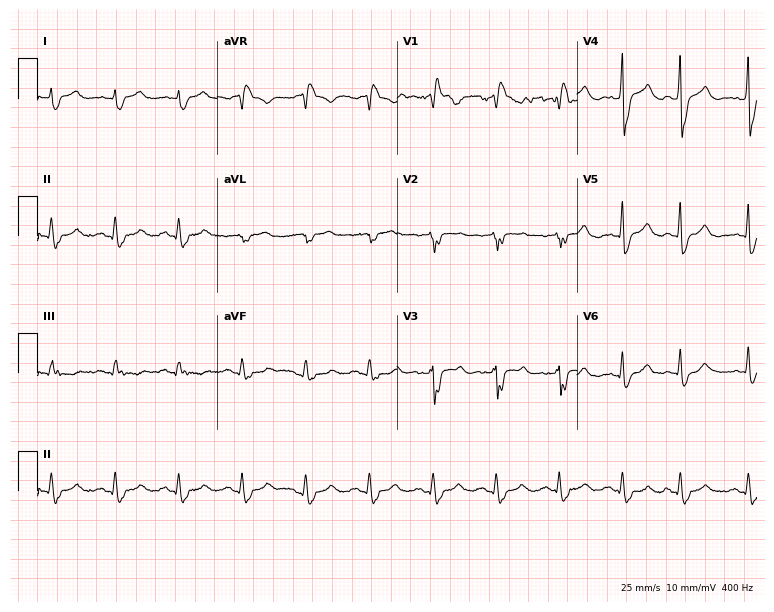
ECG (7.3-second recording at 400 Hz) — a male, 67 years old. Findings include right bundle branch block.